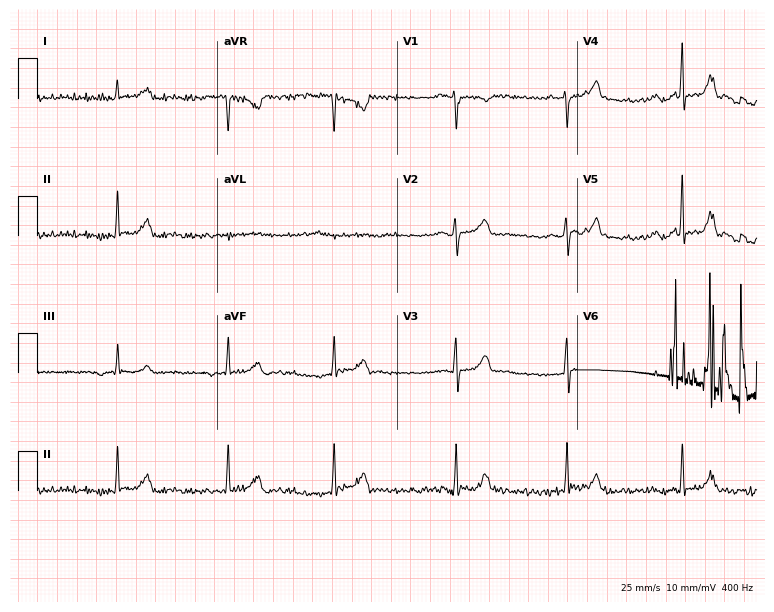
Resting 12-lead electrocardiogram. Patient: a 33-year-old female. Read as a normal ECG.